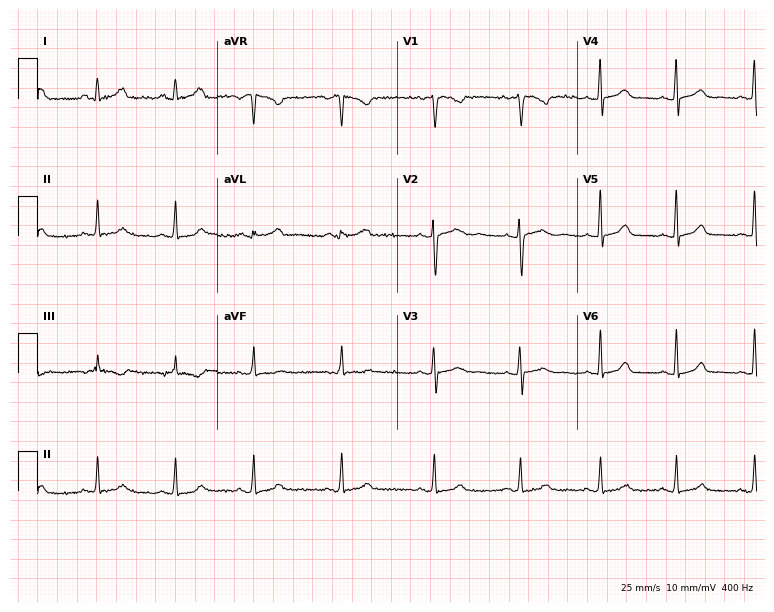
12-lead ECG (7.3-second recording at 400 Hz) from a female patient, 21 years old. Screened for six findings — first-degree AV block, right bundle branch block (RBBB), left bundle branch block (LBBB), sinus bradycardia, atrial fibrillation (AF), sinus tachycardia — none is recorded.